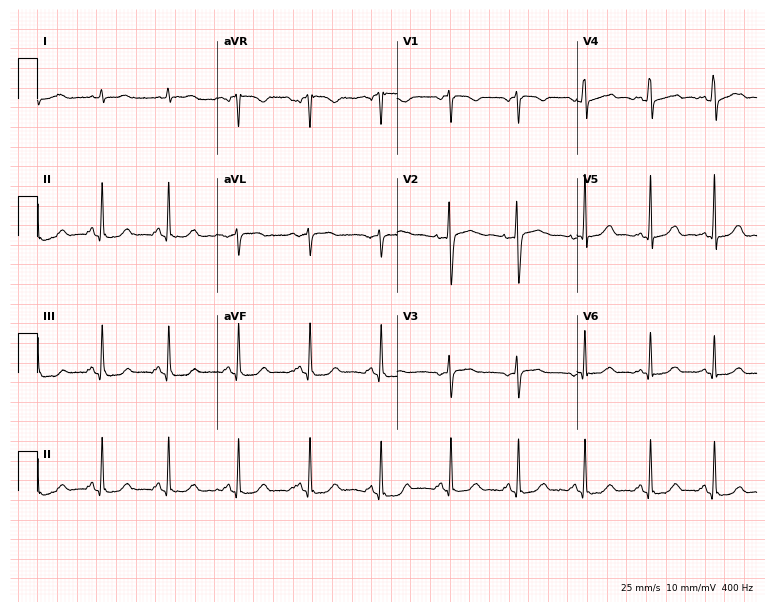
12-lead ECG from a female, 37 years old. Labelled as a normal ECG.